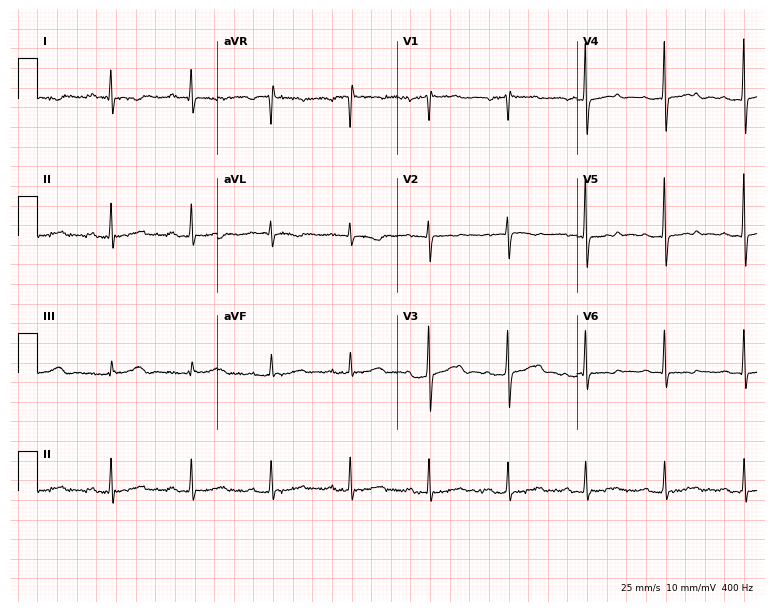
Resting 12-lead electrocardiogram. Patient: a 69-year-old female. None of these six findings is recorded: first-degree AV block, right bundle branch block, left bundle branch block, sinus bradycardia, atrial fibrillation, sinus tachycardia.